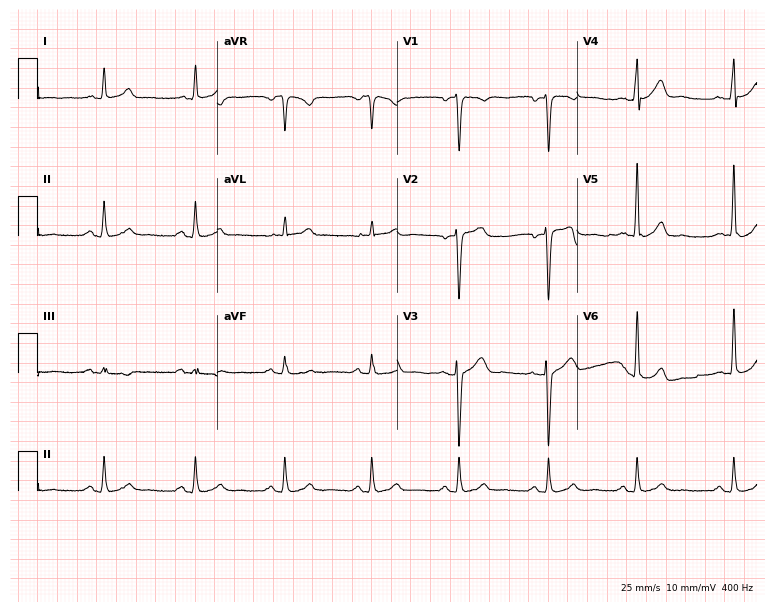
ECG — a 39-year-old male patient. Labelled as a normal ECG.